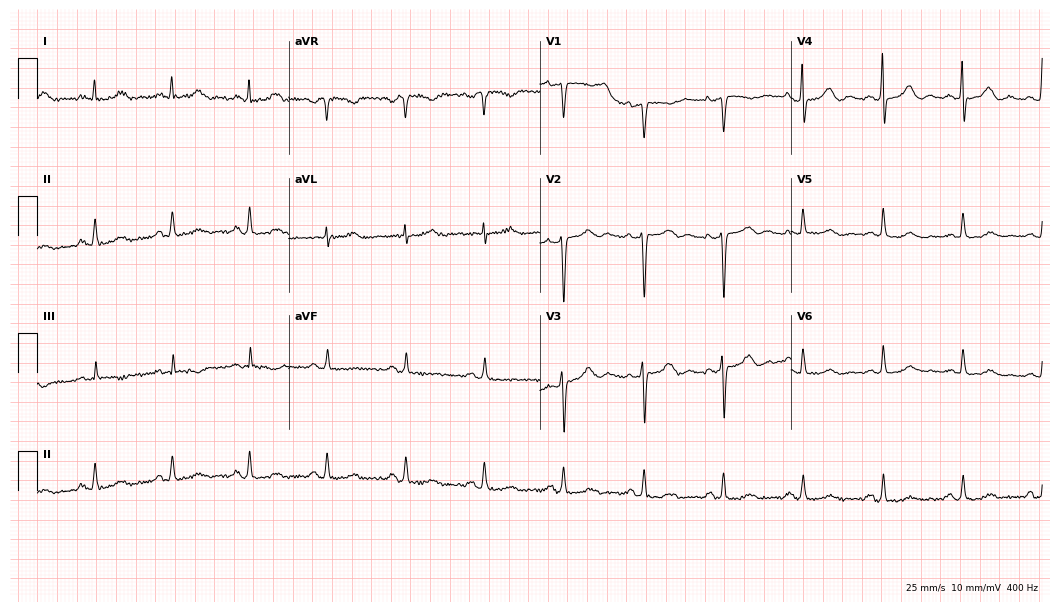
Electrocardiogram, a woman, 78 years old. Overall reading on record: normal ECG.